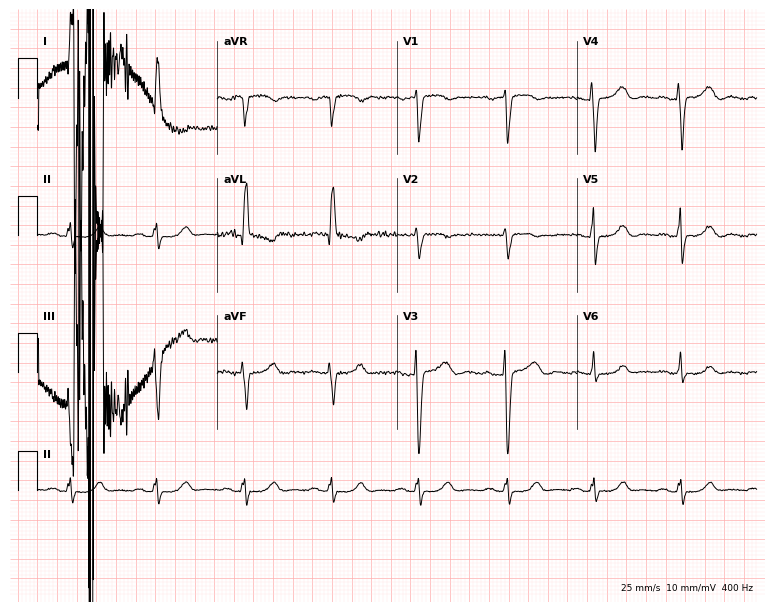
Resting 12-lead electrocardiogram. Patient: an 85-year-old female. The tracing shows atrial fibrillation.